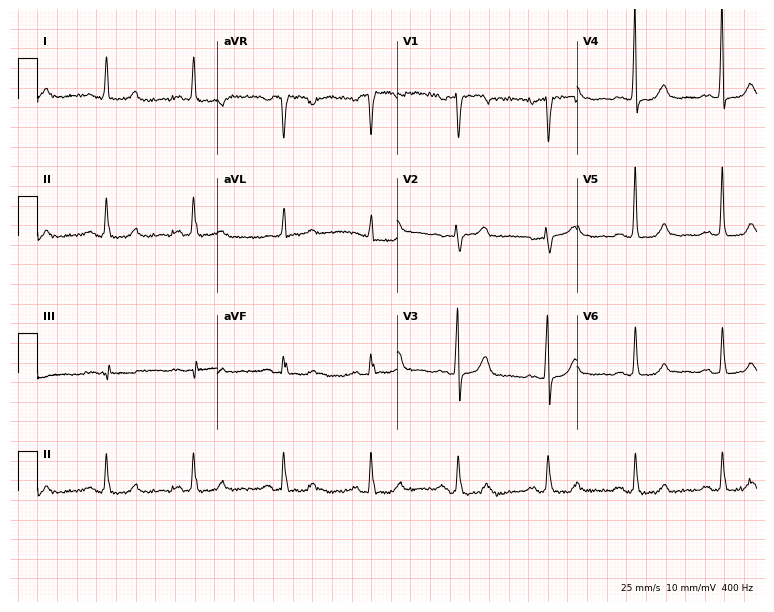
12-lead ECG (7.3-second recording at 400 Hz) from a 76-year-old woman. Labelled as a normal ECG.